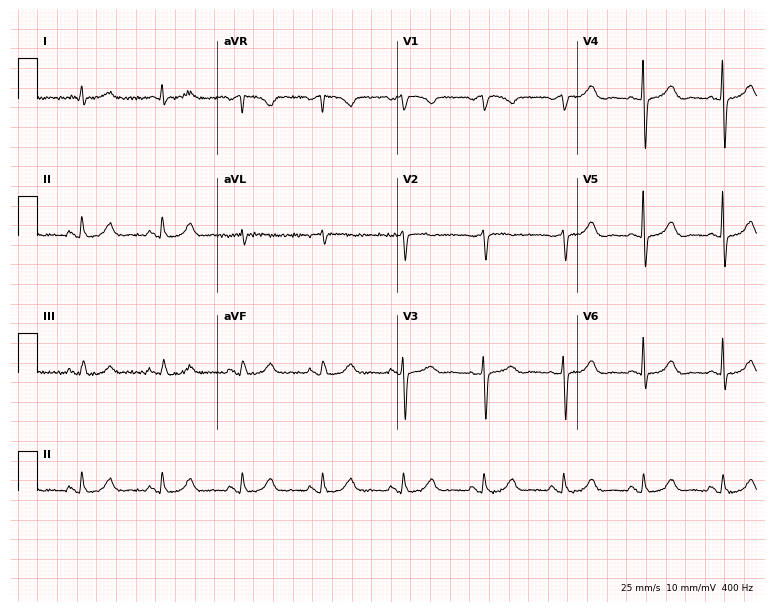
12-lead ECG from a 78-year-old female. Recorded interpretation: within normal limits.